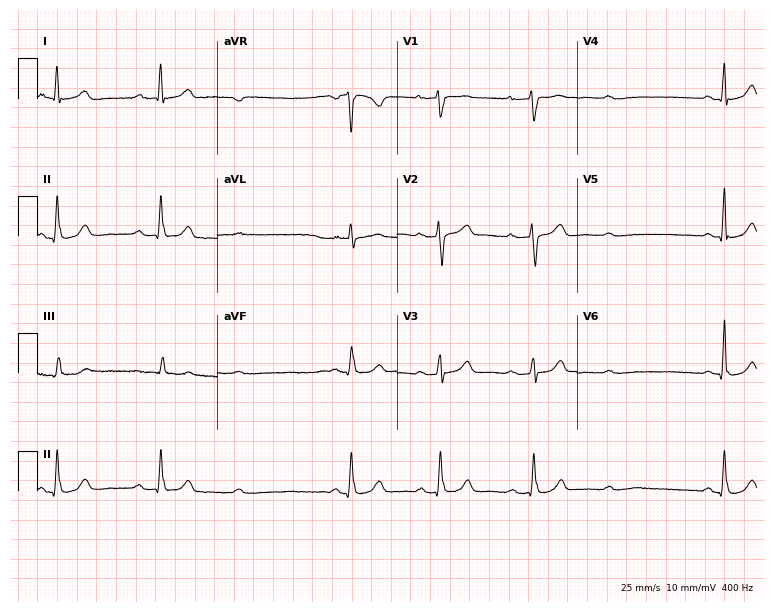
ECG — a 51-year-old female. Screened for six findings — first-degree AV block, right bundle branch block, left bundle branch block, sinus bradycardia, atrial fibrillation, sinus tachycardia — none is recorded. Other findings, if any, are not listed.